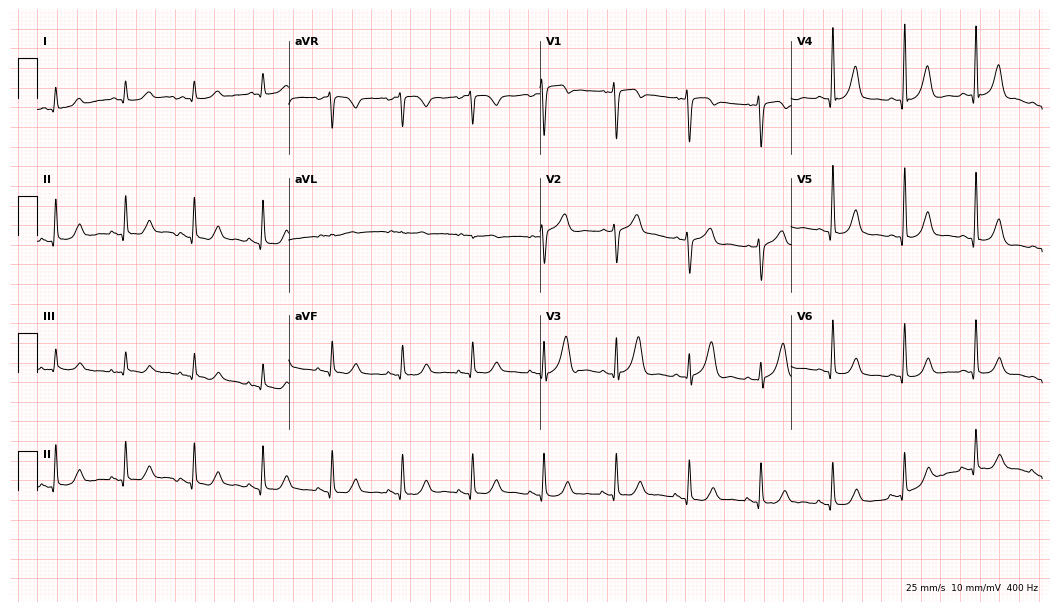
12-lead ECG from a male patient, 59 years old (10.2-second recording at 400 Hz). No first-degree AV block, right bundle branch block (RBBB), left bundle branch block (LBBB), sinus bradycardia, atrial fibrillation (AF) or sinus tachycardia recorded for this tracing. Only these six findings were labelled.